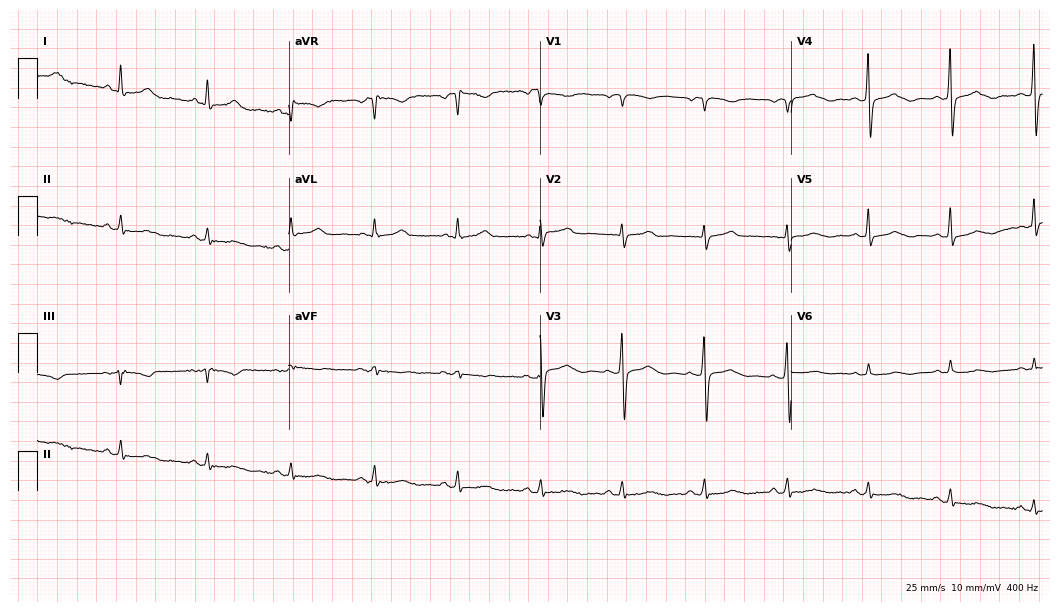
12-lead ECG from a 56-year-old female patient. Screened for six findings — first-degree AV block, right bundle branch block, left bundle branch block, sinus bradycardia, atrial fibrillation, sinus tachycardia — none is recorded. Findings outside these six are not listed.